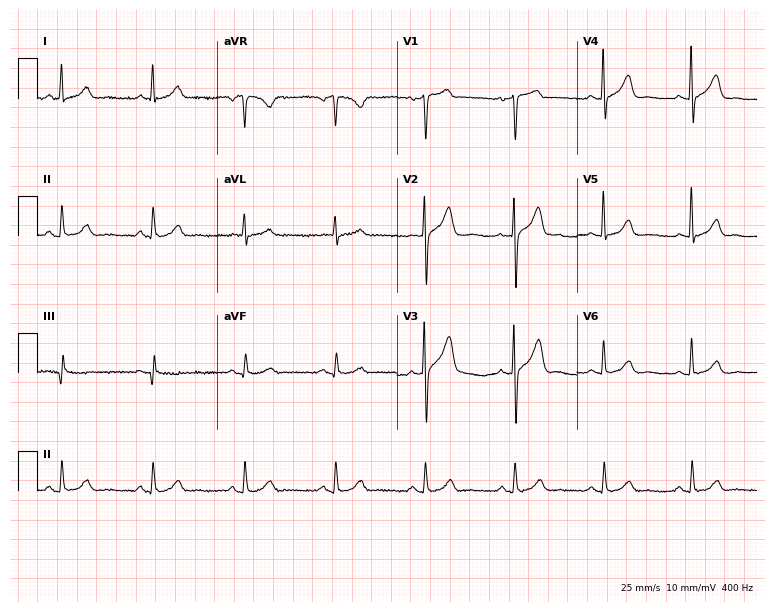
12-lead ECG from a female patient, 66 years old (7.3-second recording at 400 Hz). Recorded interpretation: within normal limits.